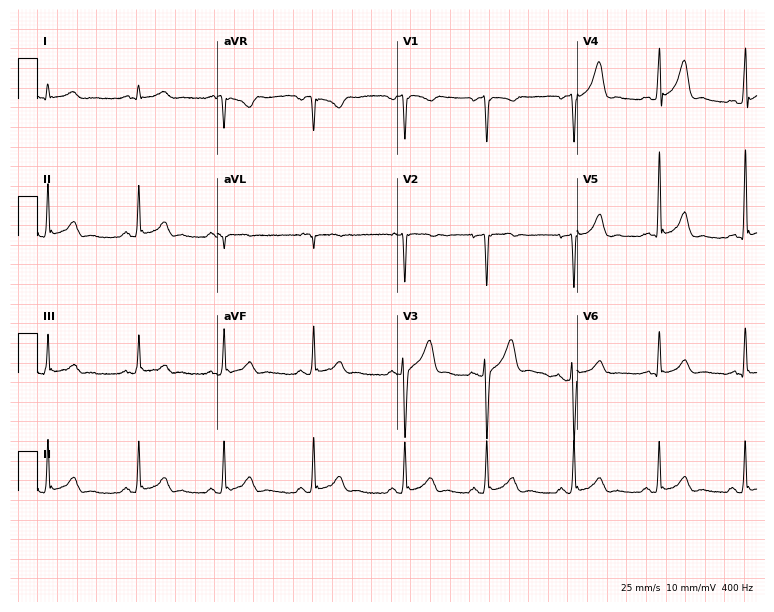
12-lead ECG from a man, 20 years old. No first-degree AV block, right bundle branch block (RBBB), left bundle branch block (LBBB), sinus bradycardia, atrial fibrillation (AF) or sinus tachycardia recorded for this tracing. Findings outside these six are not listed.